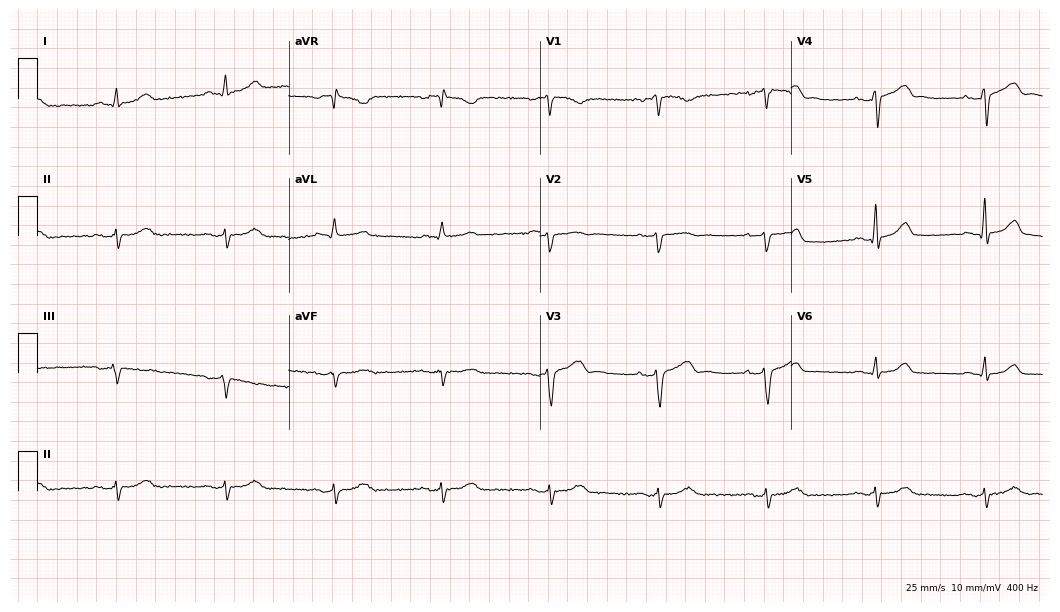
Resting 12-lead electrocardiogram. Patient: a 63-year-old man. None of these six findings is recorded: first-degree AV block, right bundle branch block, left bundle branch block, sinus bradycardia, atrial fibrillation, sinus tachycardia.